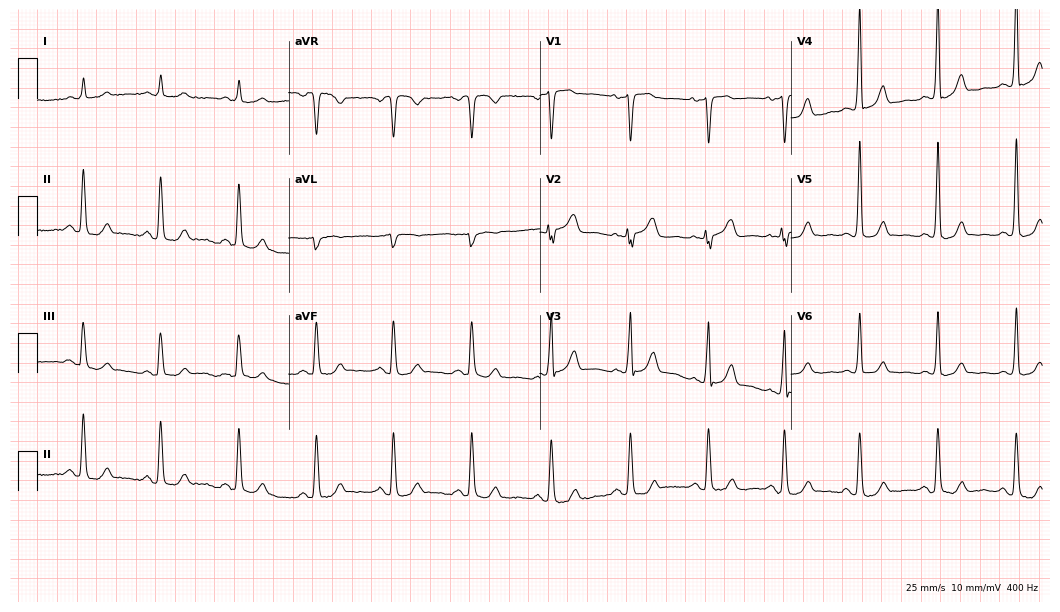
ECG (10.2-second recording at 400 Hz) — a female patient, 77 years old. Labelled as a normal ECG.